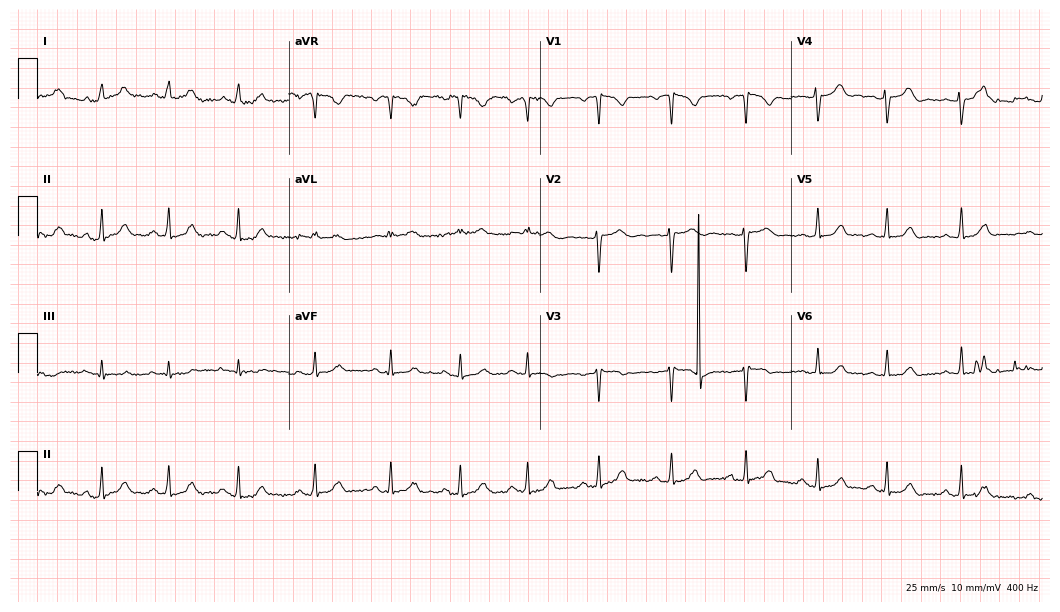
Standard 12-lead ECG recorded from a 26-year-old female patient. None of these six findings is recorded: first-degree AV block, right bundle branch block, left bundle branch block, sinus bradycardia, atrial fibrillation, sinus tachycardia. Other findings, if any, are not listed.